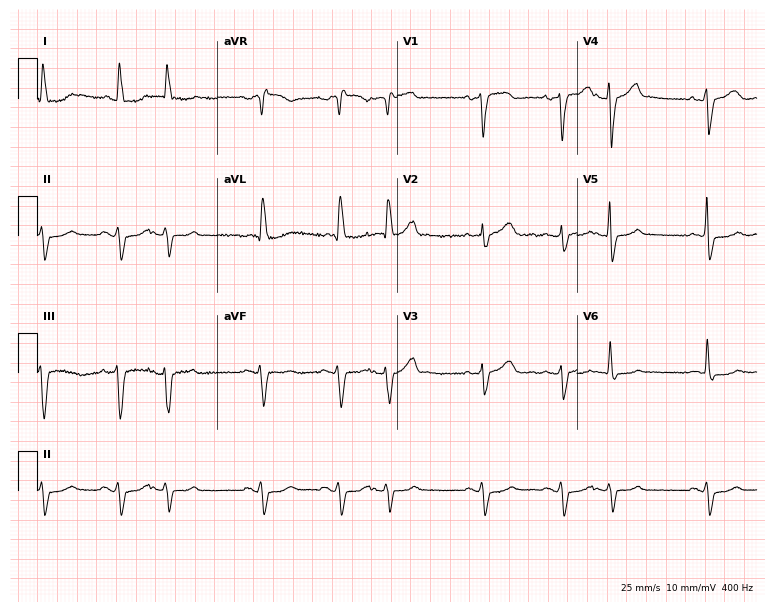
Electrocardiogram (7.3-second recording at 400 Hz), a 78-year-old female. Of the six screened findings (first-degree AV block, right bundle branch block (RBBB), left bundle branch block (LBBB), sinus bradycardia, atrial fibrillation (AF), sinus tachycardia), none is recorded.